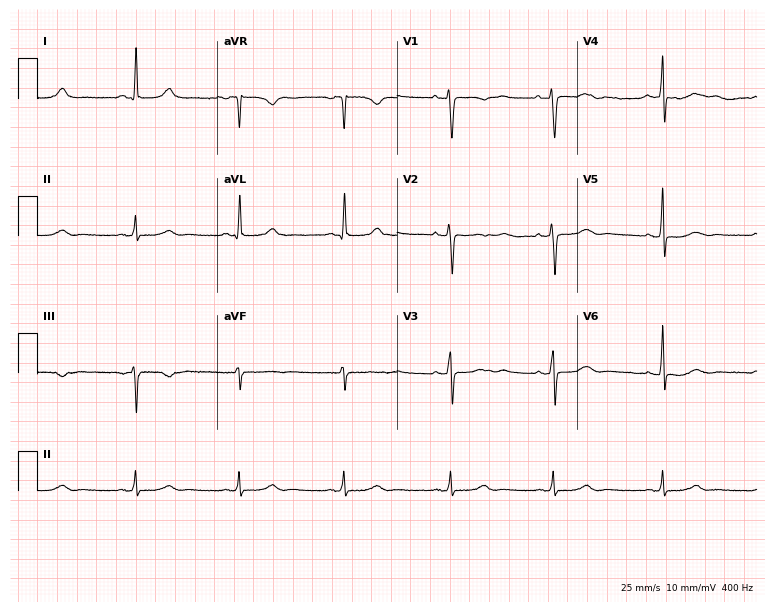
Resting 12-lead electrocardiogram (7.3-second recording at 400 Hz). Patient: a female, 37 years old. Read as a normal ECG.